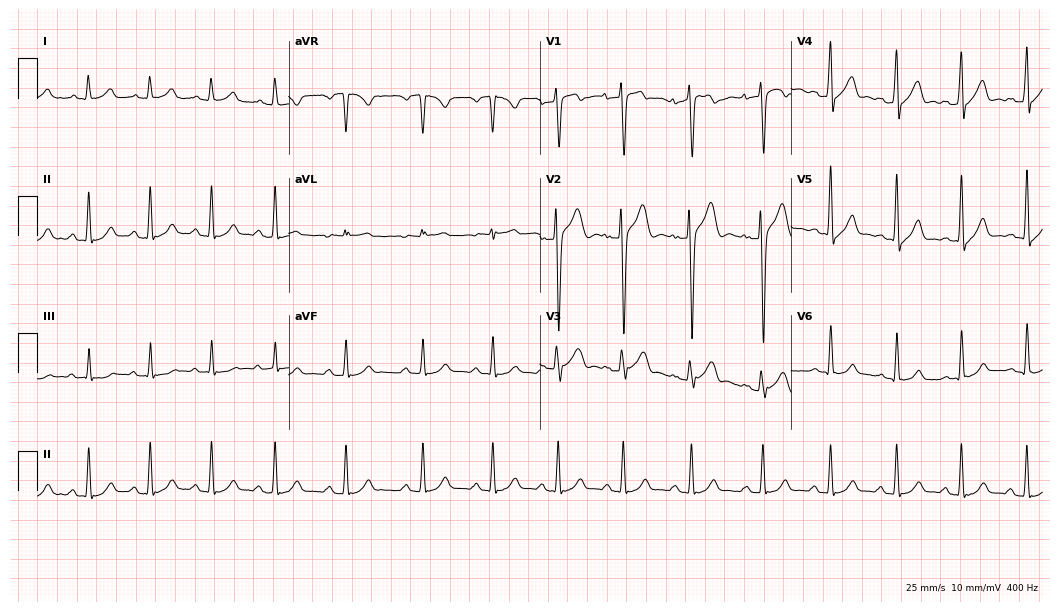
Electrocardiogram, a man, 23 years old. Overall reading on record: normal ECG.